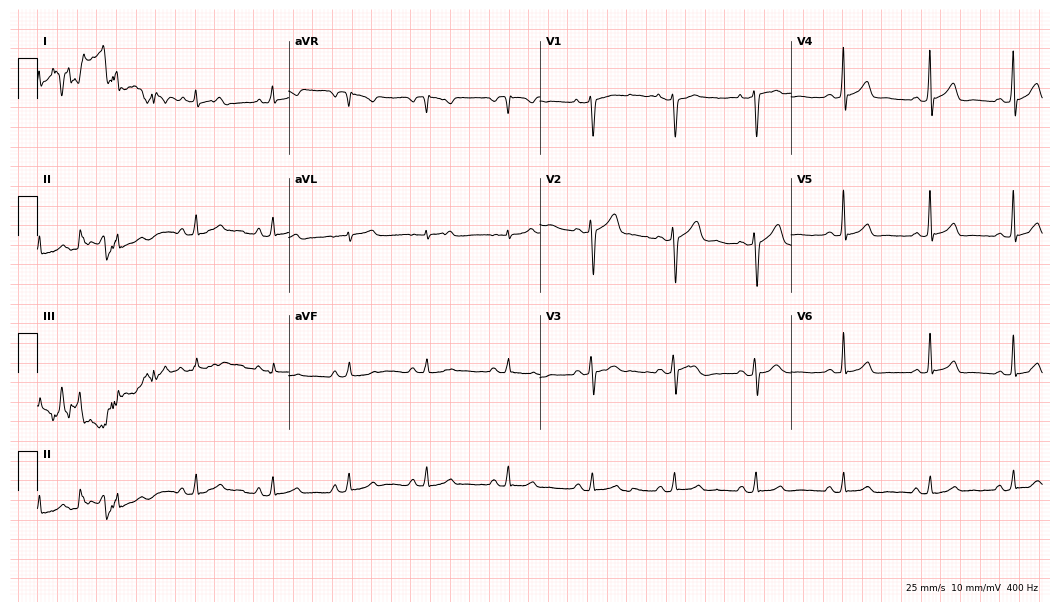
ECG — a male patient, 26 years old. Labelled as a normal ECG.